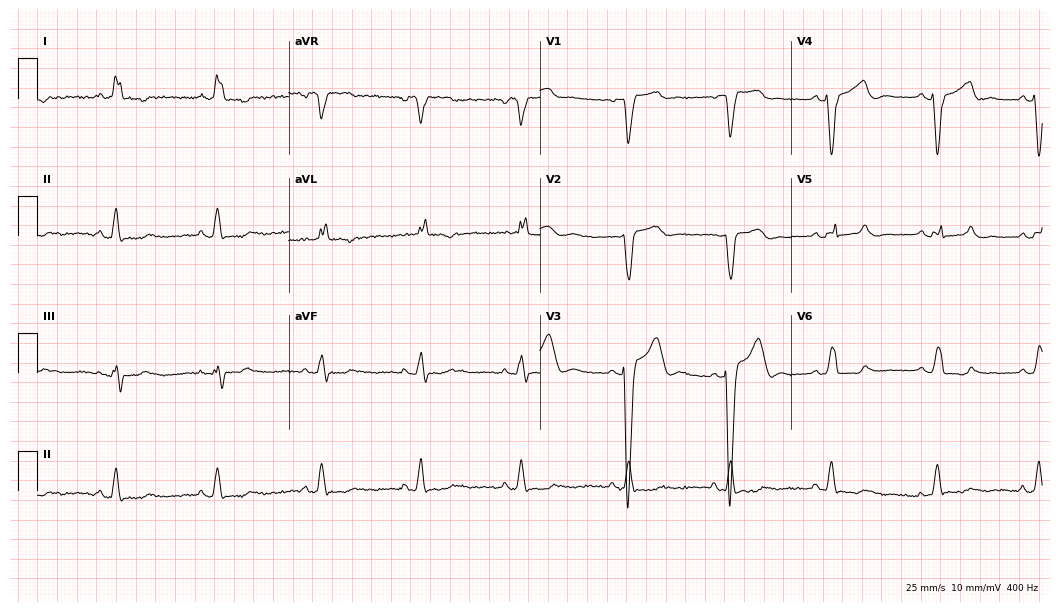
Resting 12-lead electrocardiogram. Patient: a female, 54 years old. The tracing shows left bundle branch block.